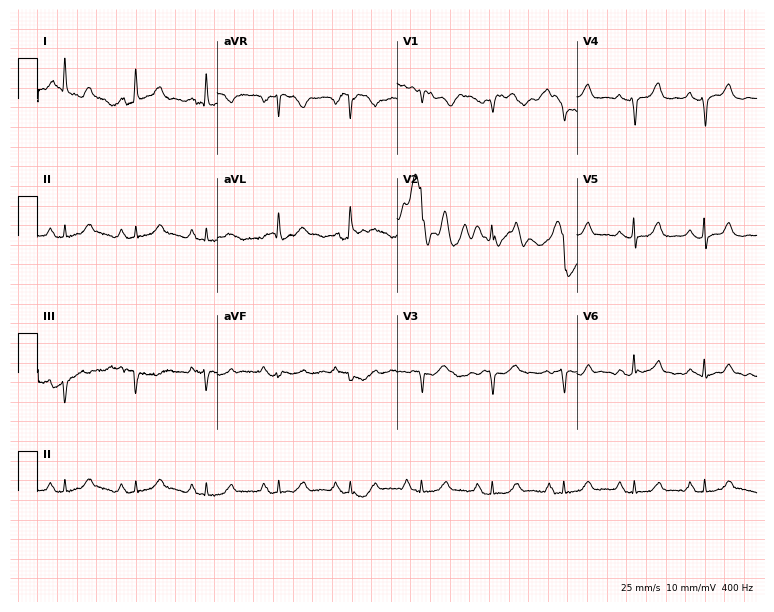
Resting 12-lead electrocardiogram (7.3-second recording at 400 Hz). Patient: a female, 84 years old. None of these six findings is recorded: first-degree AV block, right bundle branch block, left bundle branch block, sinus bradycardia, atrial fibrillation, sinus tachycardia. Only these six findings were labelled.